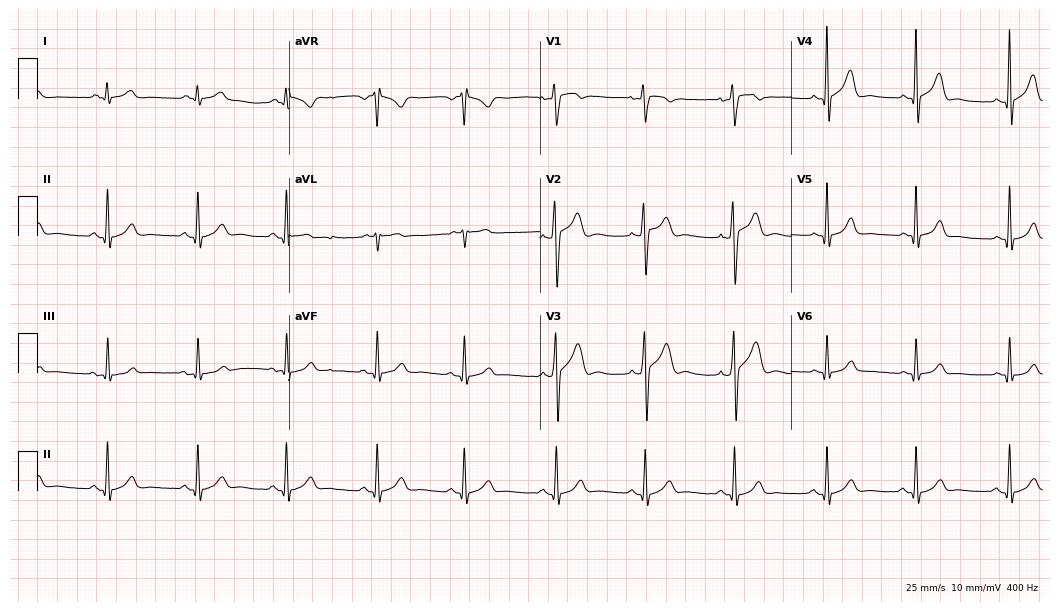
Electrocardiogram, a male, 31 years old. Overall reading on record: normal ECG.